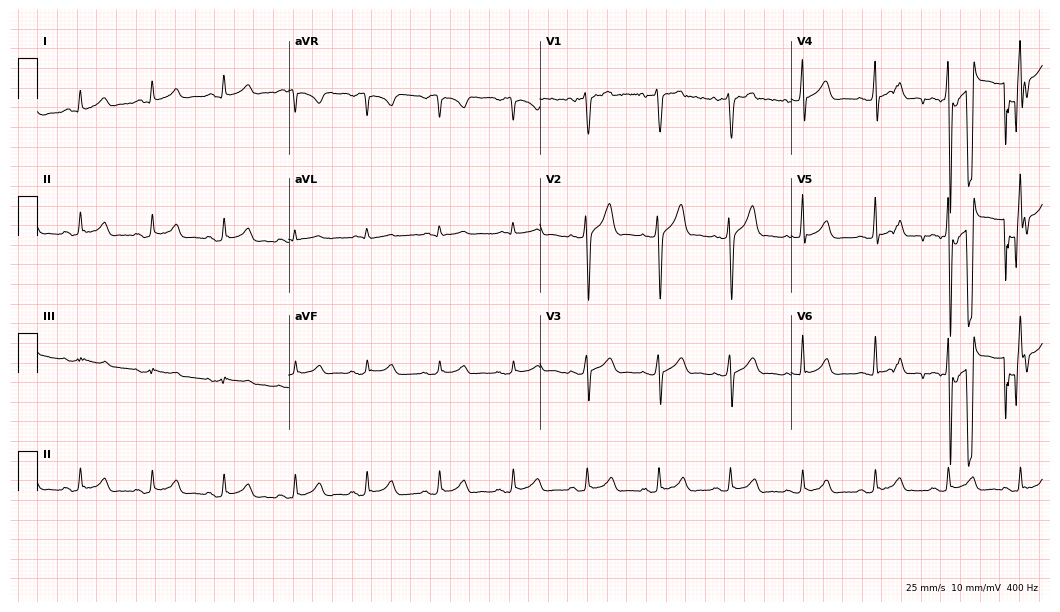
12-lead ECG from a 31-year-old male patient. Labelled as a normal ECG.